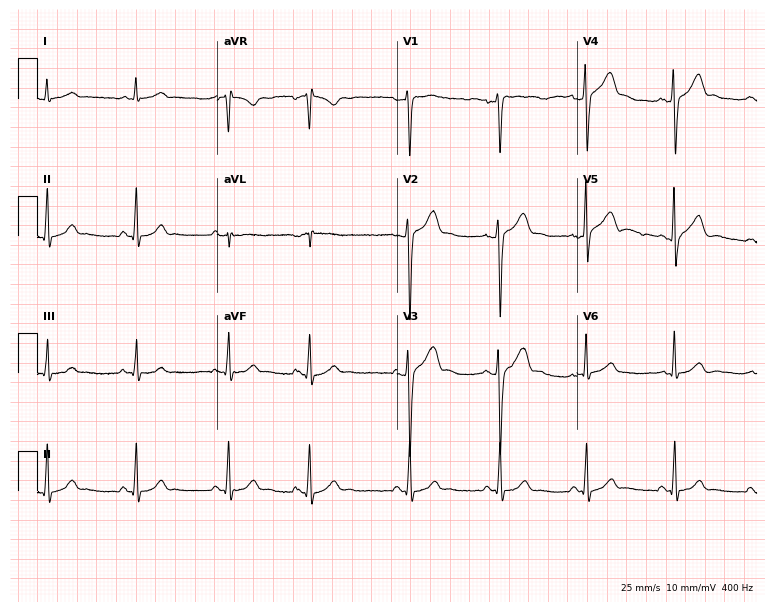
12-lead ECG from a 47-year-old male patient (7.3-second recording at 400 Hz). Recorded interpretation: within normal limits.